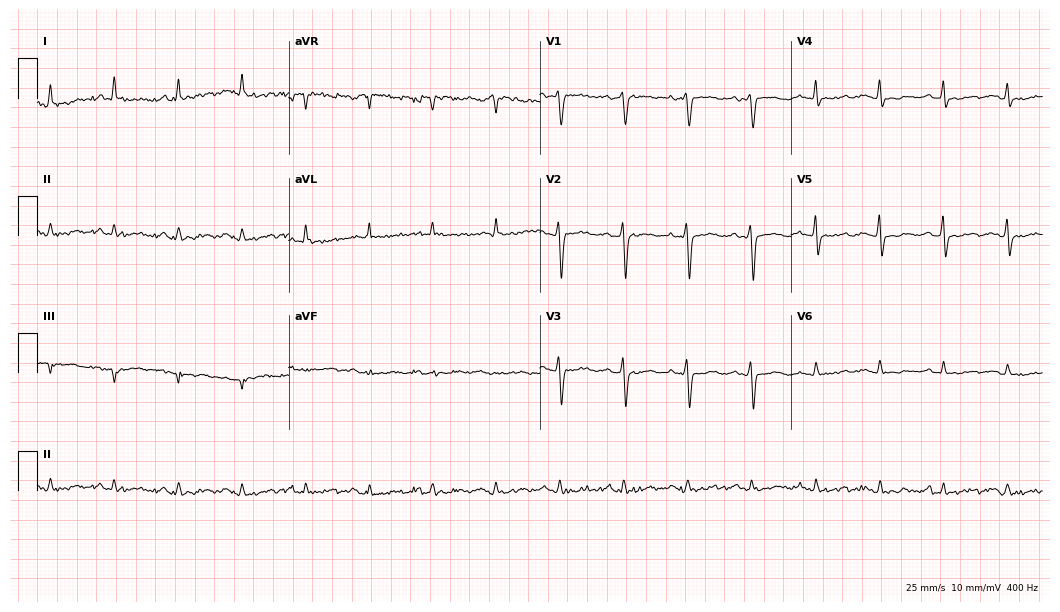
12-lead ECG (10.2-second recording at 400 Hz) from a 49-year-old woman. Screened for six findings — first-degree AV block, right bundle branch block, left bundle branch block, sinus bradycardia, atrial fibrillation, sinus tachycardia — none is recorded.